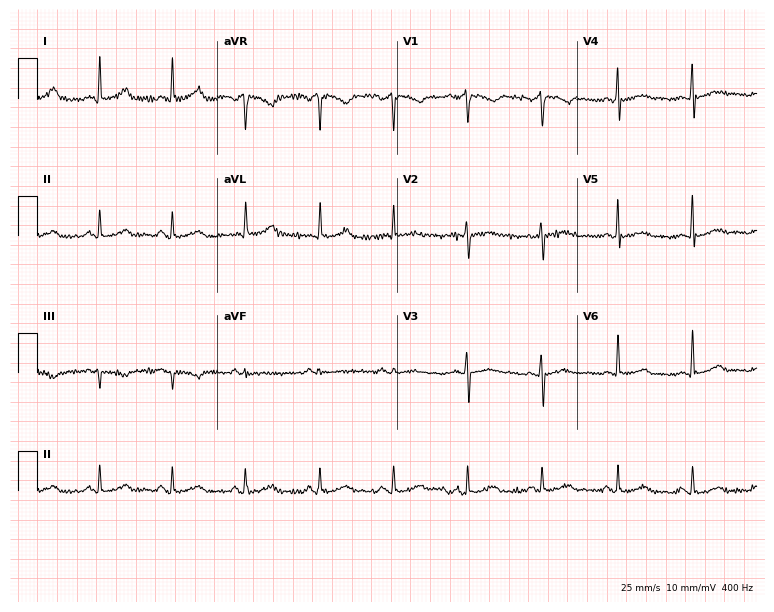
Electrocardiogram (7.3-second recording at 400 Hz), a woman, 49 years old. Of the six screened findings (first-degree AV block, right bundle branch block, left bundle branch block, sinus bradycardia, atrial fibrillation, sinus tachycardia), none is recorded. Other findings, if any, are not listed.